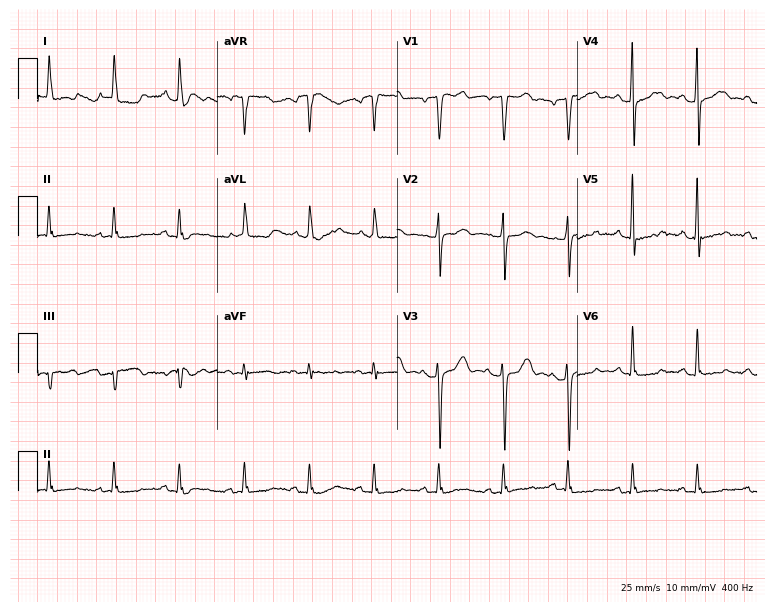
Standard 12-lead ECG recorded from a female patient, 55 years old. Read as a normal ECG.